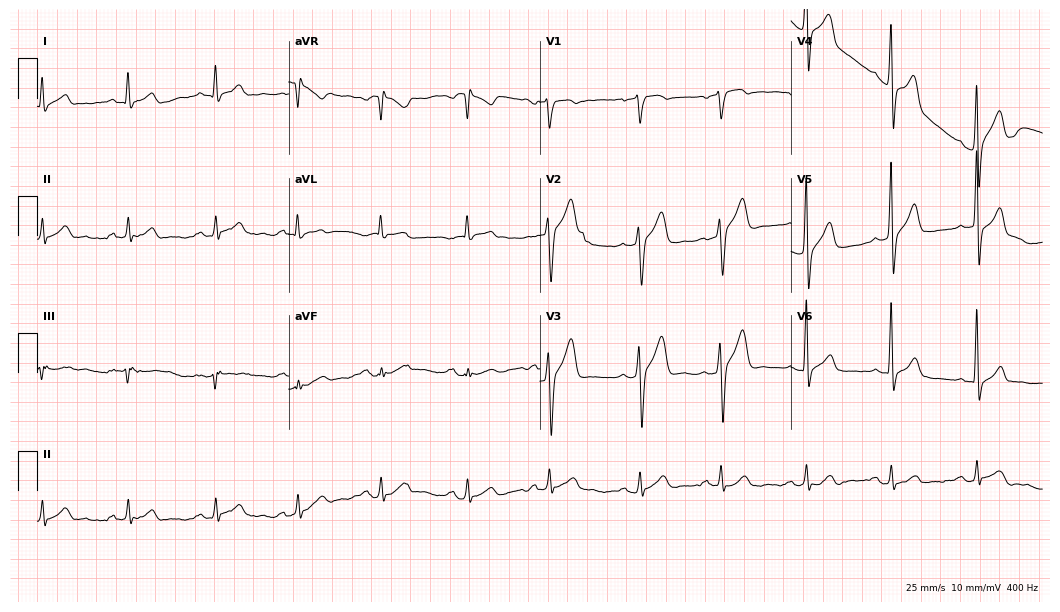
12-lead ECG from a 38-year-old man. Labelled as a normal ECG.